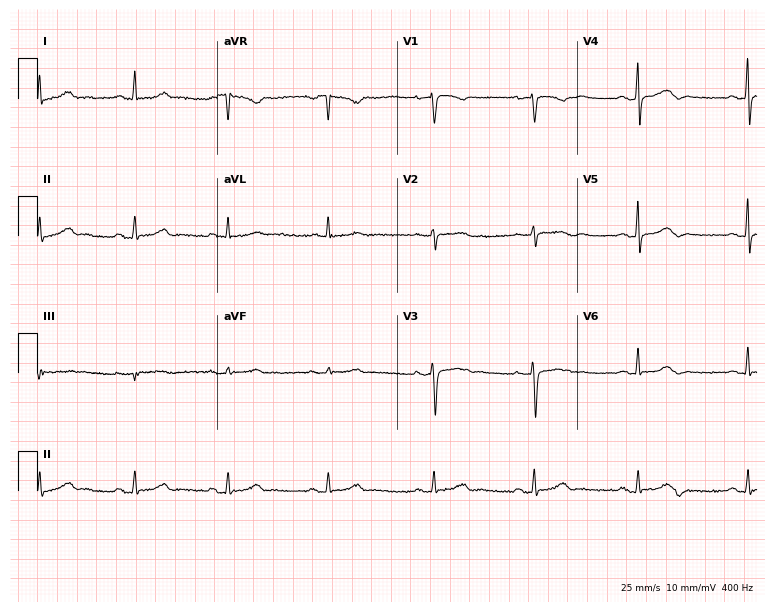
12-lead ECG from a female, 55 years old. Recorded interpretation: within normal limits.